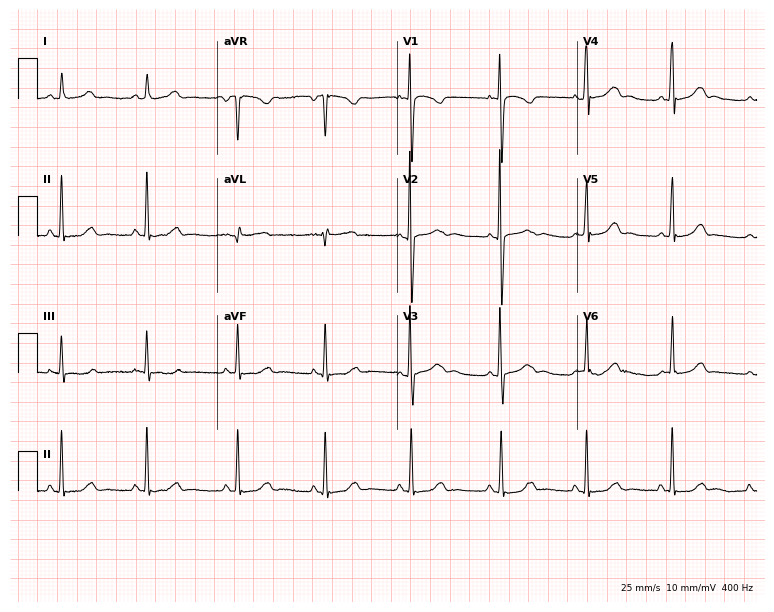
Resting 12-lead electrocardiogram. Patient: a woman, 79 years old. None of these six findings is recorded: first-degree AV block, right bundle branch block, left bundle branch block, sinus bradycardia, atrial fibrillation, sinus tachycardia. Only these six findings were labelled.